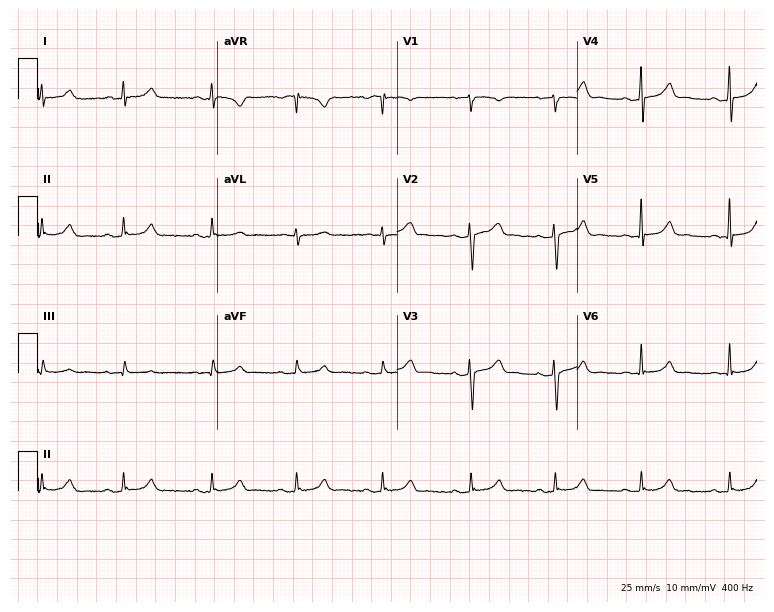
12-lead ECG from a male patient, 45 years old. Recorded interpretation: within normal limits.